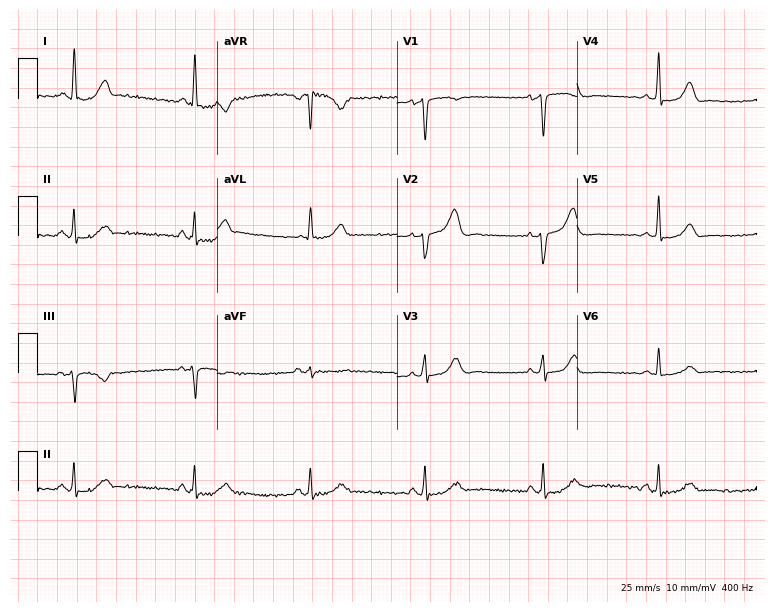
Resting 12-lead electrocardiogram (7.3-second recording at 400 Hz). Patient: a 48-year-old female. None of these six findings is recorded: first-degree AV block, right bundle branch block, left bundle branch block, sinus bradycardia, atrial fibrillation, sinus tachycardia. Only these six findings were labelled.